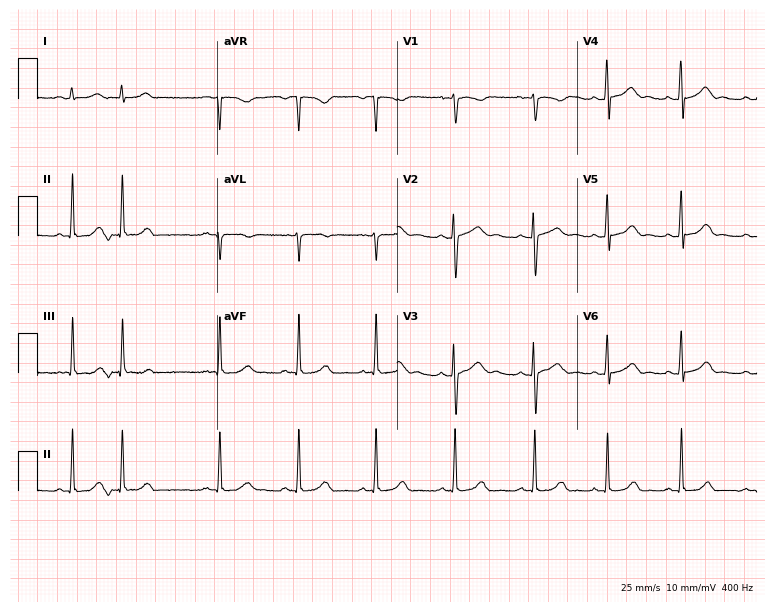
Standard 12-lead ECG recorded from a 21-year-old female patient (7.3-second recording at 400 Hz). None of these six findings is recorded: first-degree AV block, right bundle branch block, left bundle branch block, sinus bradycardia, atrial fibrillation, sinus tachycardia. Other findings, if any, are not listed.